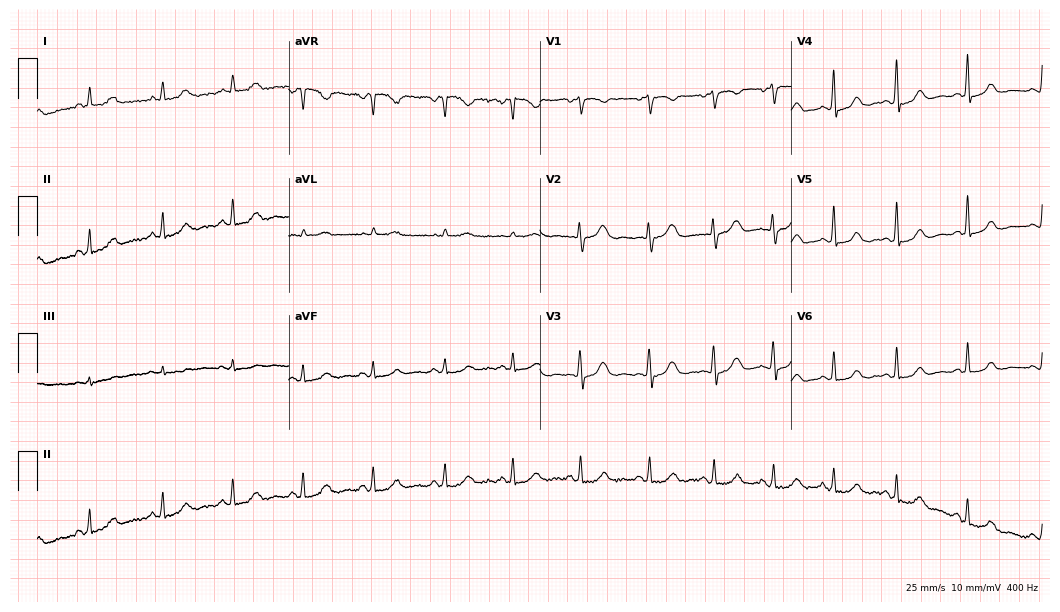
12-lead ECG from a 45-year-old female patient. Labelled as a normal ECG.